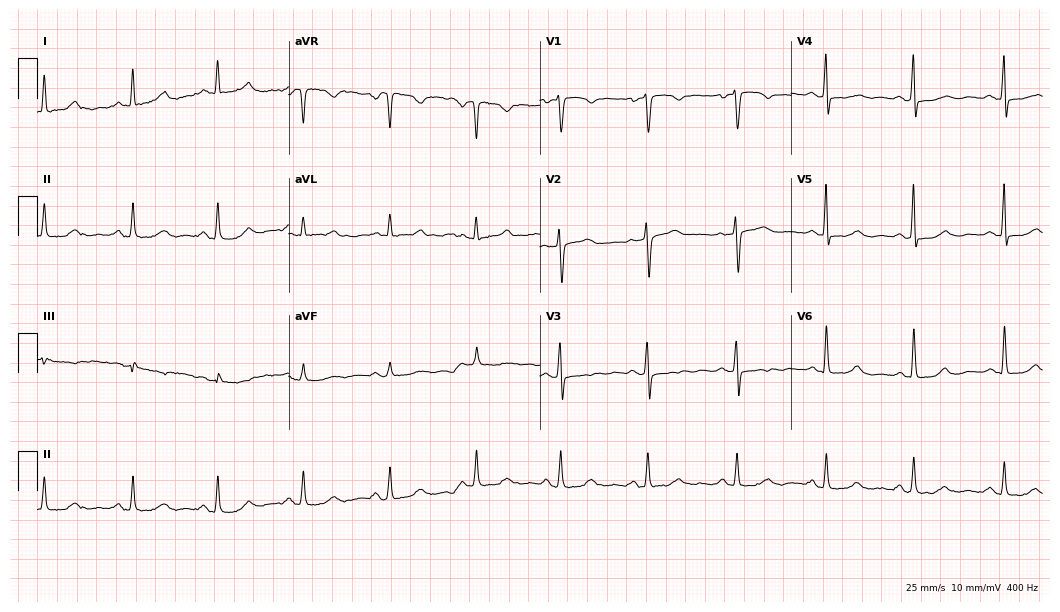
ECG — a female patient, 59 years old. Screened for six findings — first-degree AV block, right bundle branch block, left bundle branch block, sinus bradycardia, atrial fibrillation, sinus tachycardia — none is recorded. Findings outside these six are not listed.